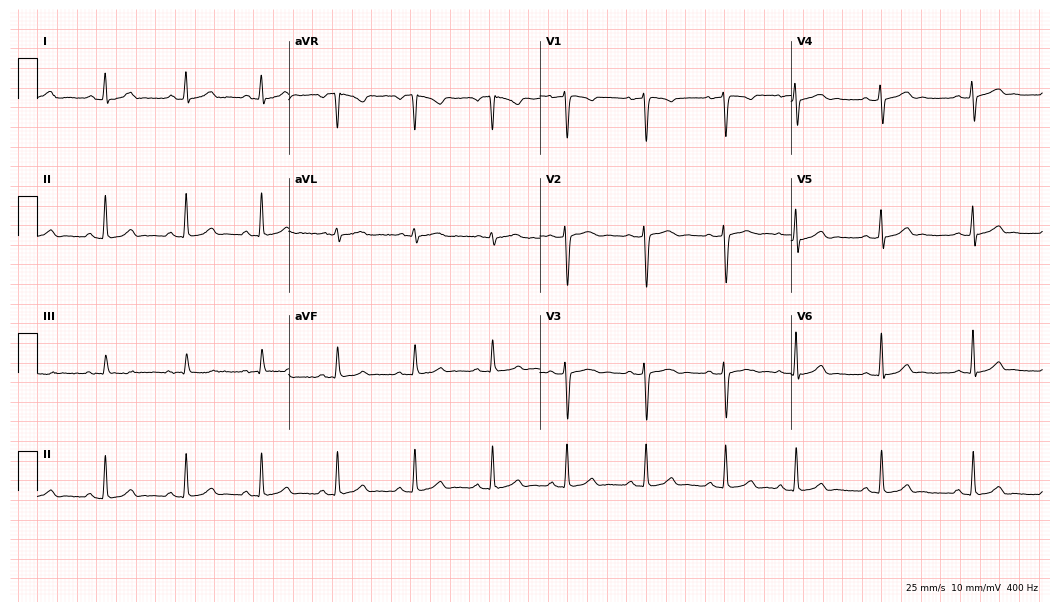
Resting 12-lead electrocardiogram. Patient: a female, 18 years old. Read as a normal ECG.